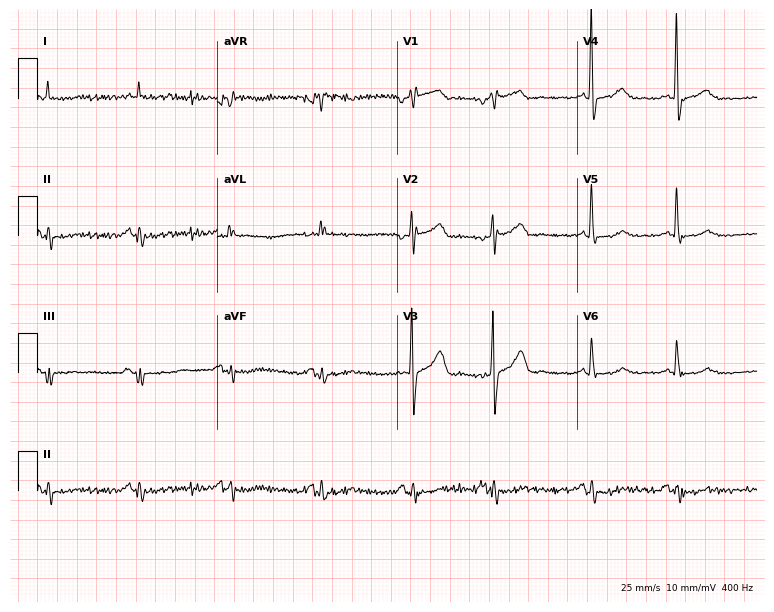
Electrocardiogram, a male patient, 74 years old. Of the six screened findings (first-degree AV block, right bundle branch block, left bundle branch block, sinus bradycardia, atrial fibrillation, sinus tachycardia), none is recorded.